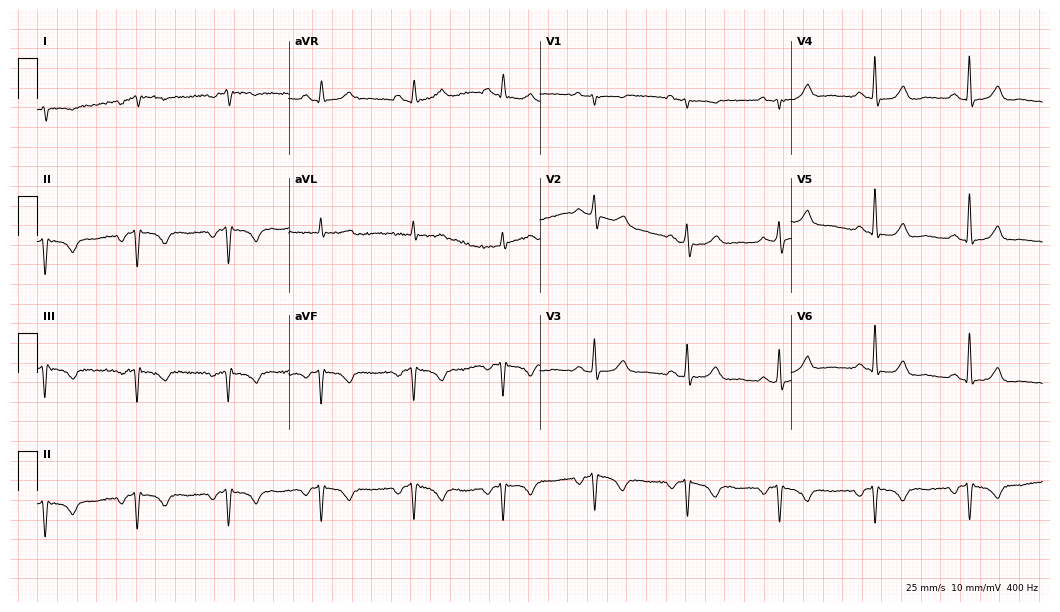
ECG (10.2-second recording at 400 Hz) — a woman, 57 years old. Screened for six findings — first-degree AV block, right bundle branch block (RBBB), left bundle branch block (LBBB), sinus bradycardia, atrial fibrillation (AF), sinus tachycardia — none is recorded.